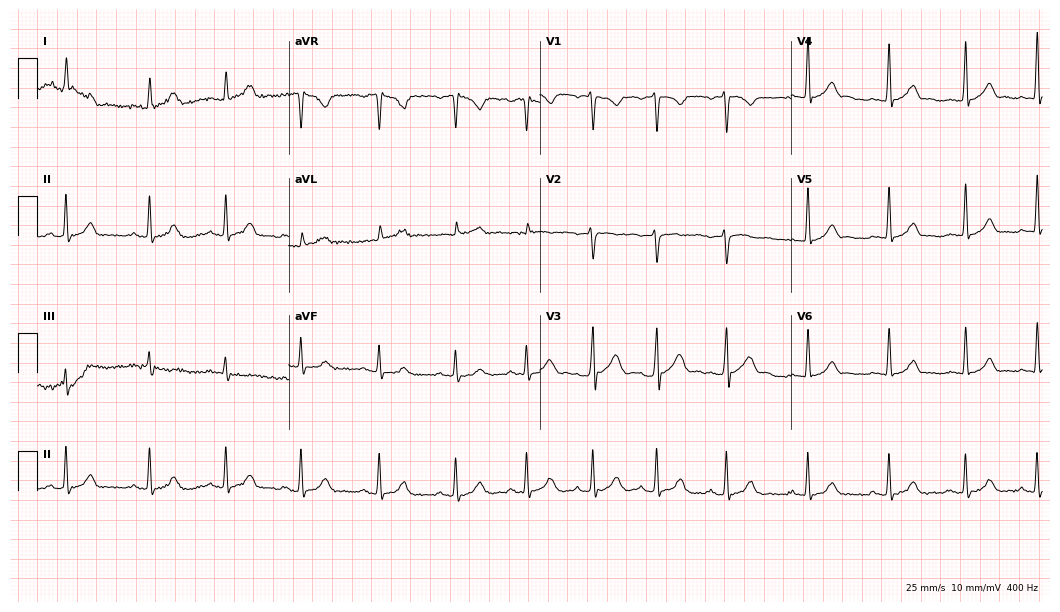
Electrocardiogram, a 25-year-old man. Overall reading on record: normal ECG.